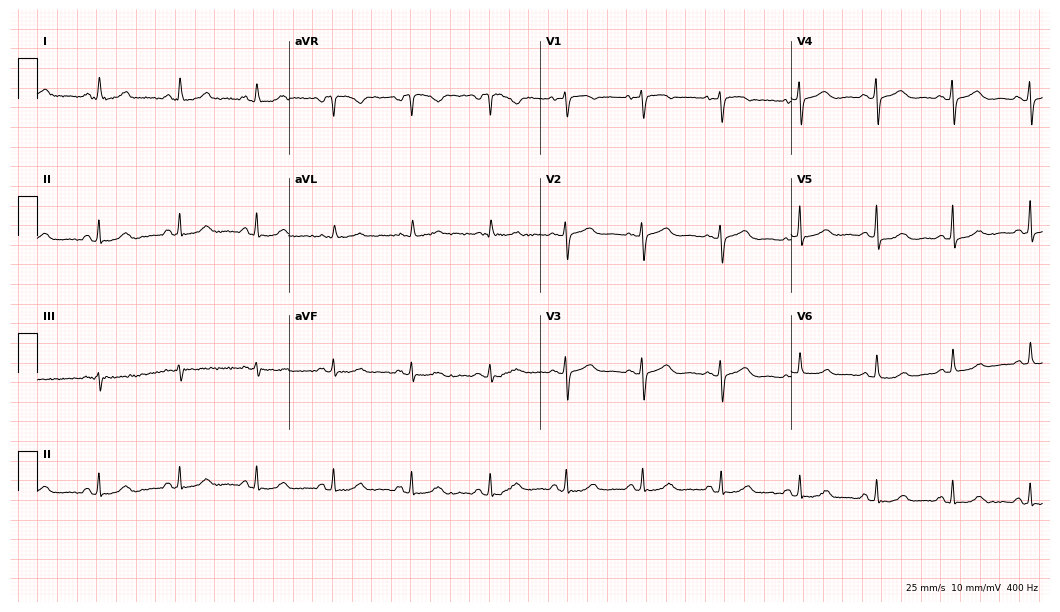
12-lead ECG (10.2-second recording at 400 Hz) from a 59-year-old female. Screened for six findings — first-degree AV block, right bundle branch block, left bundle branch block, sinus bradycardia, atrial fibrillation, sinus tachycardia — none is recorded. Other findings, if any, are not listed.